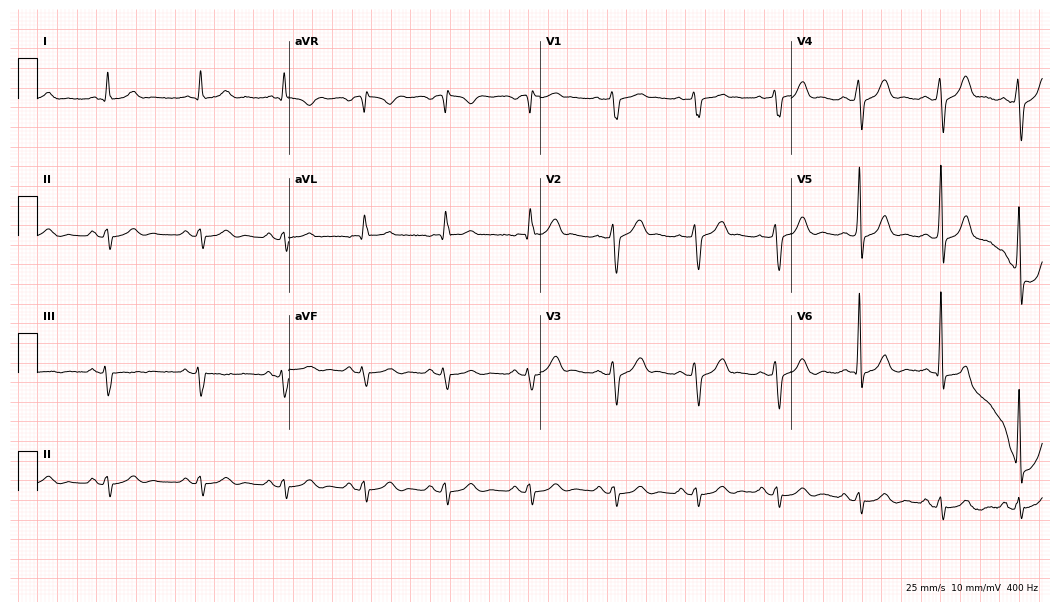
Electrocardiogram, a male, 75 years old. Of the six screened findings (first-degree AV block, right bundle branch block (RBBB), left bundle branch block (LBBB), sinus bradycardia, atrial fibrillation (AF), sinus tachycardia), none is recorded.